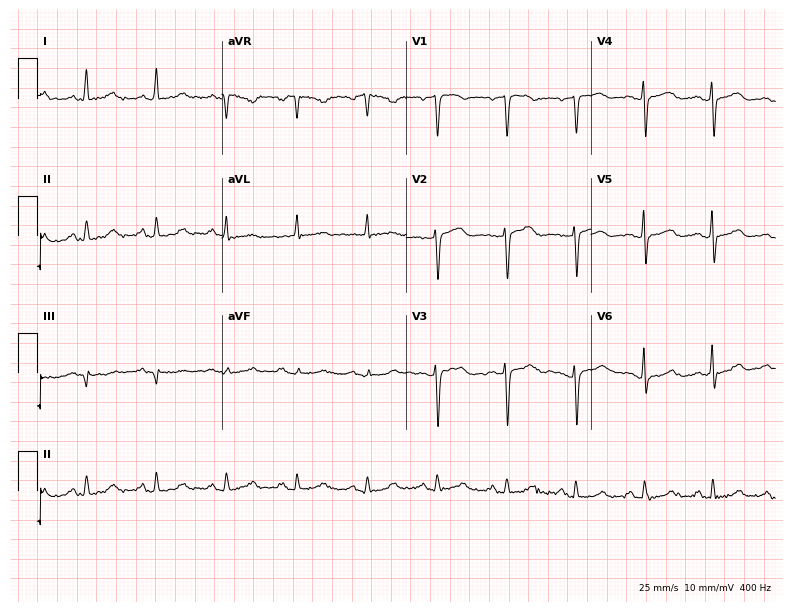
Resting 12-lead electrocardiogram. Patient: a 73-year-old female. Read as a normal ECG.